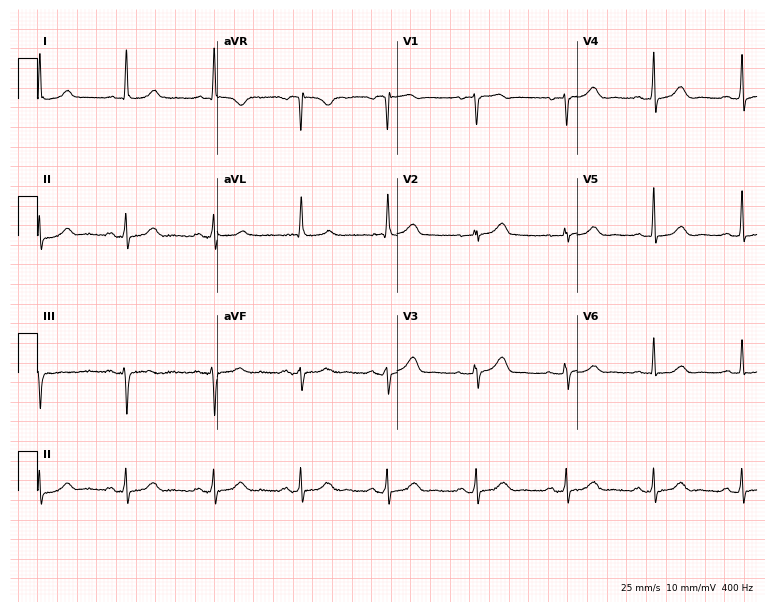
Standard 12-lead ECG recorded from a 67-year-old woman (7.3-second recording at 400 Hz). None of these six findings is recorded: first-degree AV block, right bundle branch block, left bundle branch block, sinus bradycardia, atrial fibrillation, sinus tachycardia.